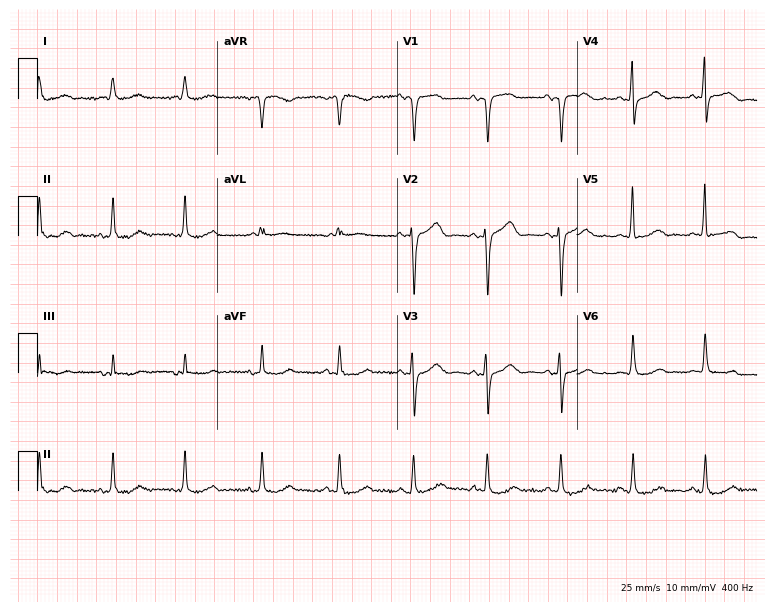
ECG — a 77-year-old female patient. Screened for six findings — first-degree AV block, right bundle branch block, left bundle branch block, sinus bradycardia, atrial fibrillation, sinus tachycardia — none is recorded. Other findings, if any, are not listed.